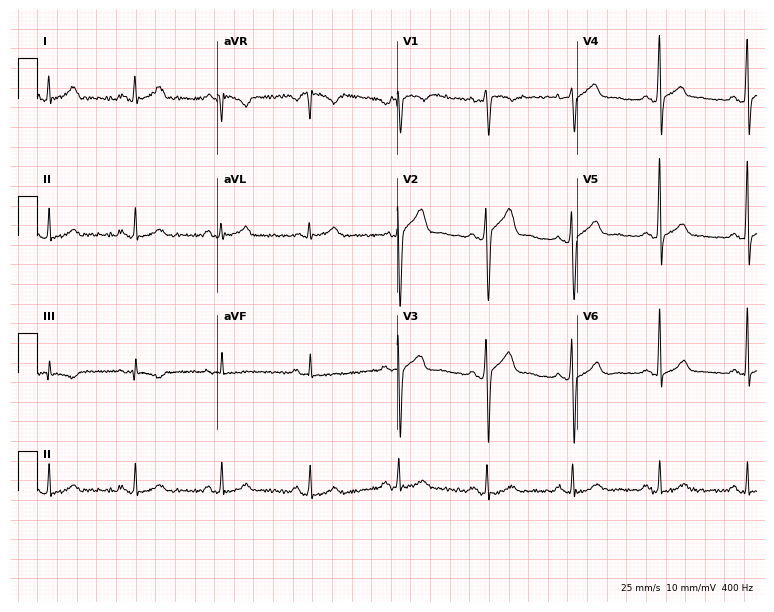
Standard 12-lead ECG recorded from a 26-year-old male. None of these six findings is recorded: first-degree AV block, right bundle branch block, left bundle branch block, sinus bradycardia, atrial fibrillation, sinus tachycardia. Findings outside these six are not listed.